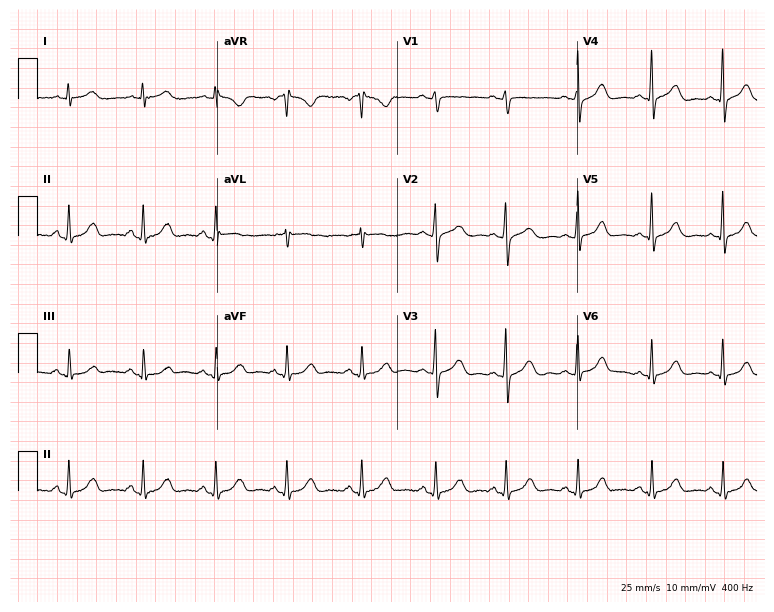
12-lead ECG (7.3-second recording at 400 Hz) from a female patient, 44 years old. Labelled as a normal ECG.